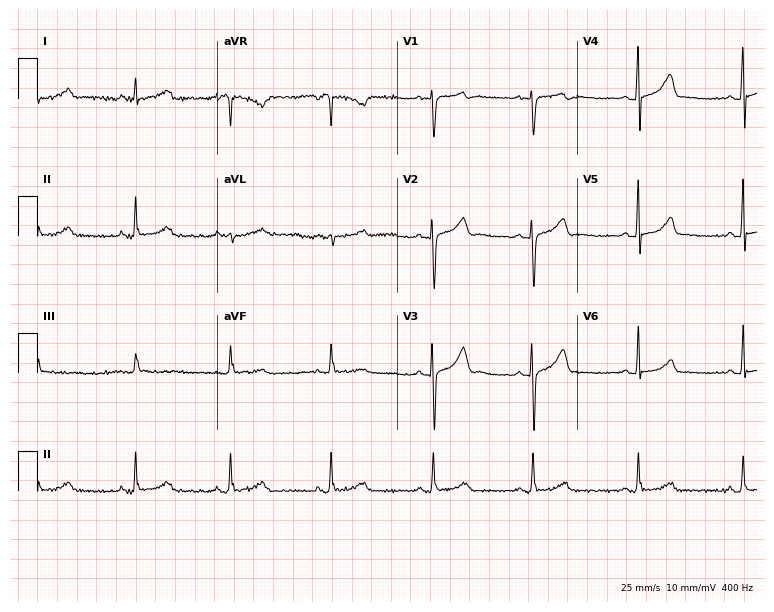
Electrocardiogram (7.3-second recording at 400 Hz), a 34-year-old woman. Overall reading on record: normal ECG.